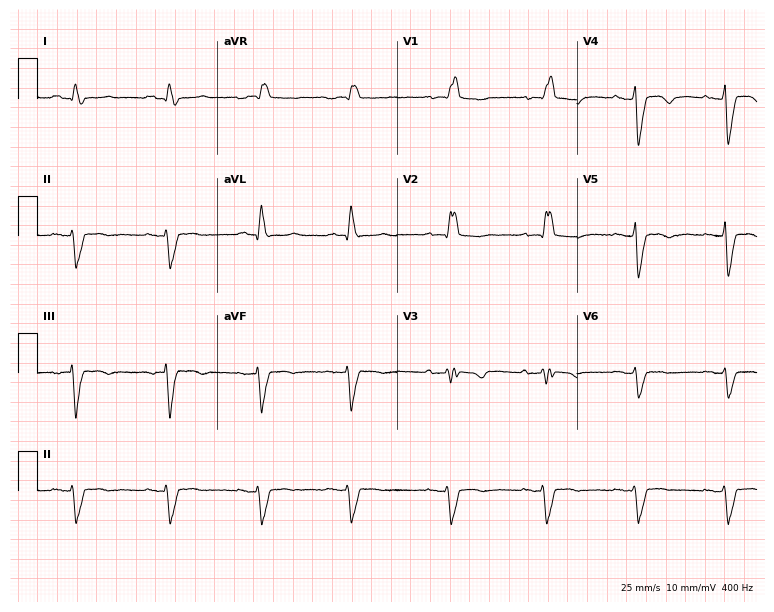
12-lead ECG from a 65-year-old man. Findings include right bundle branch block (RBBB).